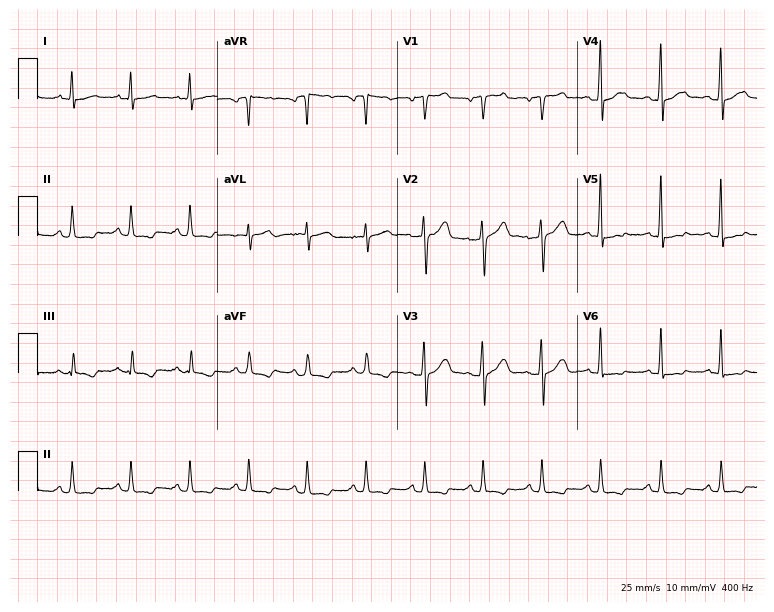
12-lead ECG (7.3-second recording at 400 Hz) from a man, 56 years old. Screened for six findings — first-degree AV block, right bundle branch block, left bundle branch block, sinus bradycardia, atrial fibrillation, sinus tachycardia — none is recorded. Other findings, if any, are not listed.